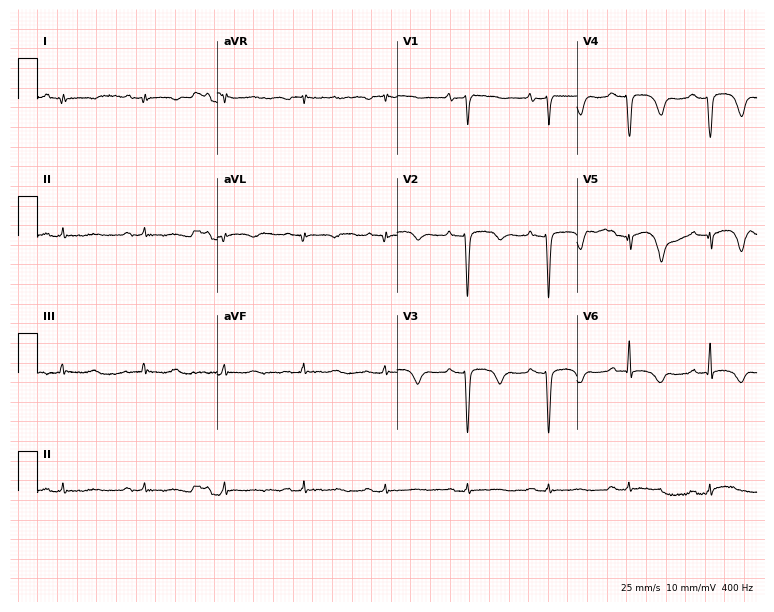
Electrocardiogram (7.3-second recording at 400 Hz), an 83-year-old woman. Of the six screened findings (first-degree AV block, right bundle branch block, left bundle branch block, sinus bradycardia, atrial fibrillation, sinus tachycardia), none is recorded. Other findings, if any, are not listed.